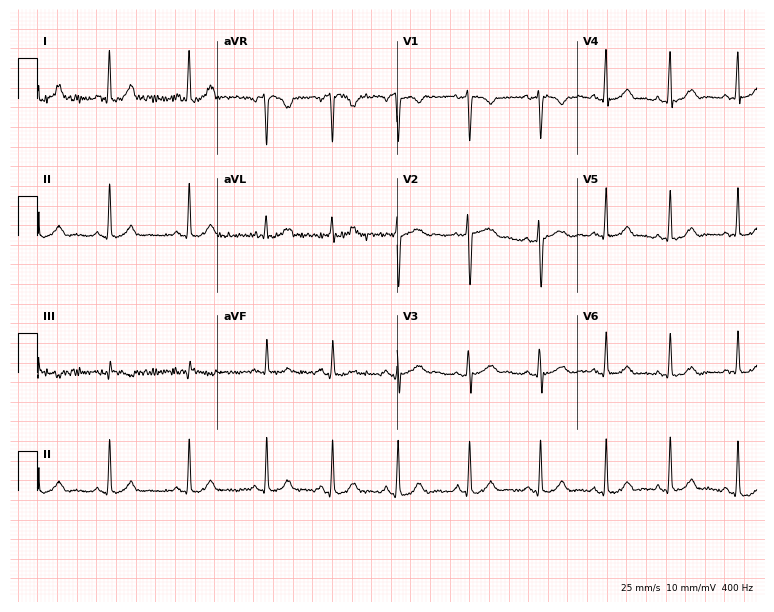
12-lead ECG from a woman, 27 years old. Screened for six findings — first-degree AV block, right bundle branch block, left bundle branch block, sinus bradycardia, atrial fibrillation, sinus tachycardia — none is recorded.